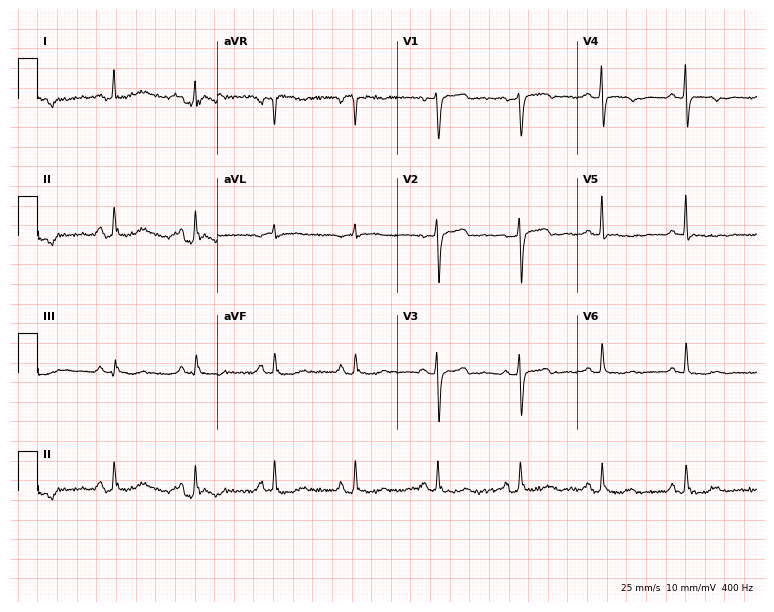
Electrocardiogram (7.3-second recording at 400 Hz), a 52-year-old female. Overall reading on record: normal ECG.